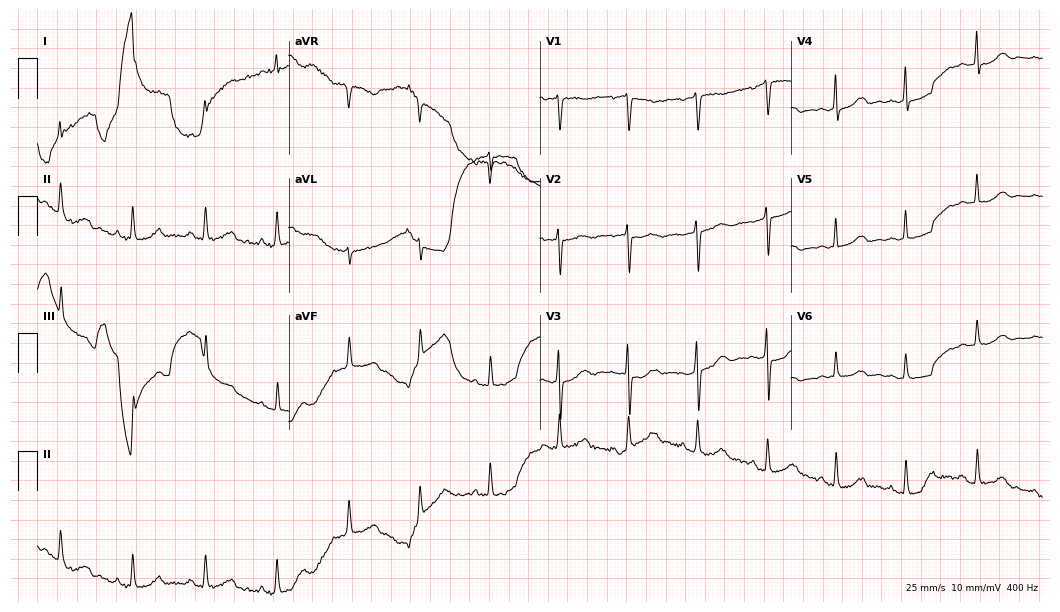
12-lead ECG (10.2-second recording at 400 Hz) from a 59-year-old woman. Screened for six findings — first-degree AV block, right bundle branch block, left bundle branch block, sinus bradycardia, atrial fibrillation, sinus tachycardia — none is recorded.